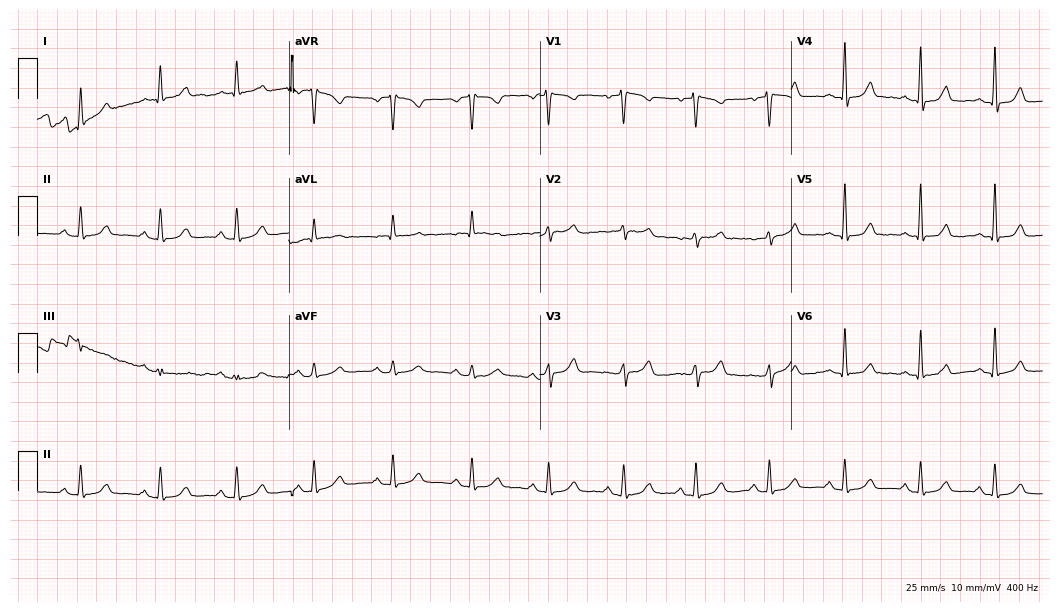
ECG (10.2-second recording at 400 Hz) — a woman, 53 years old. Labelled as a normal ECG.